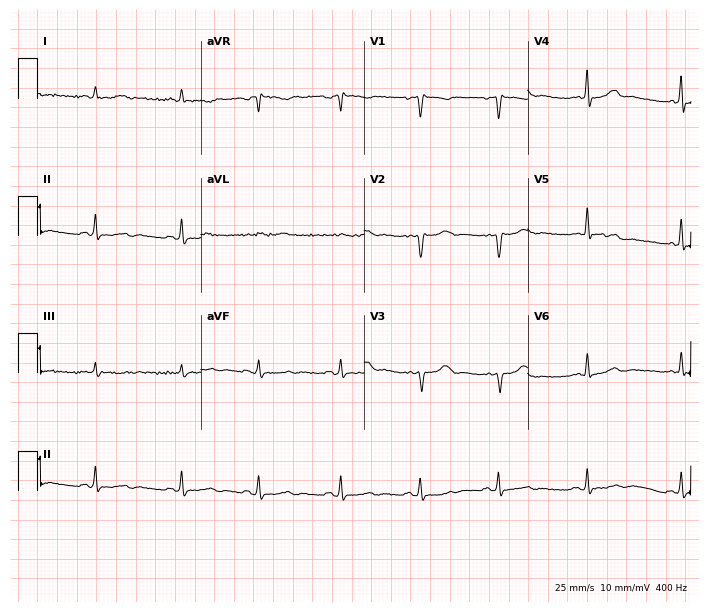
12-lead ECG from a woman, 37 years old. Screened for six findings — first-degree AV block, right bundle branch block, left bundle branch block, sinus bradycardia, atrial fibrillation, sinus tachycardia — none is recorded.